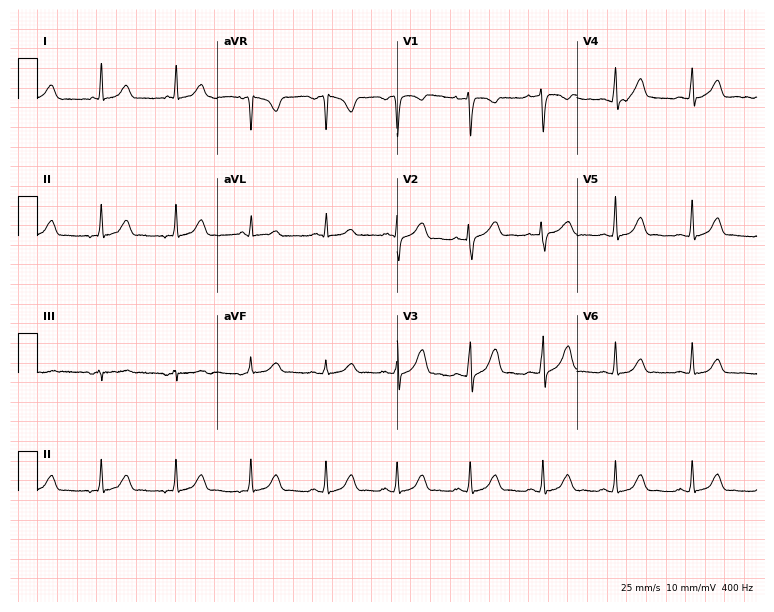
Electrocardiogram (7.3-second recording at 400 Hz), a female patient, 37 years old. Overall reading on record: normal ECG.